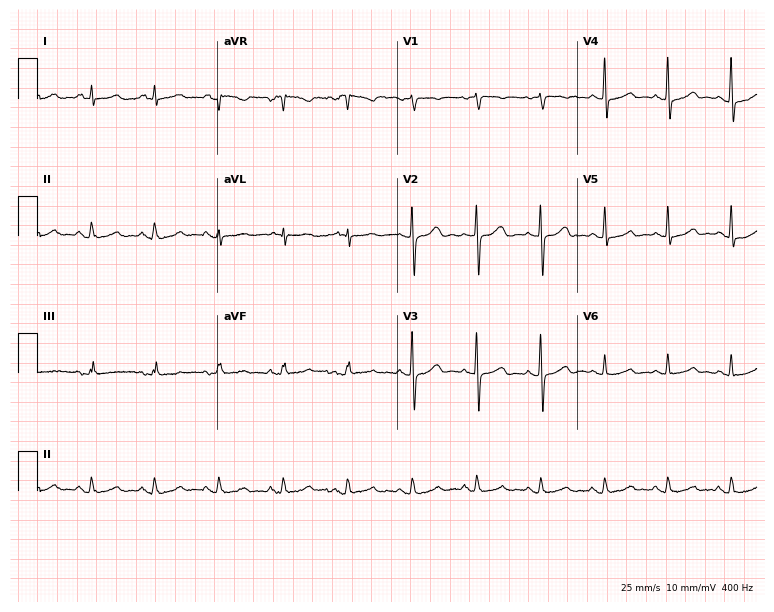
Electrocardiogram (7.3-second recording at 400 Hz), a female patient, 53 years old. Overall reading on record: normal ECG.